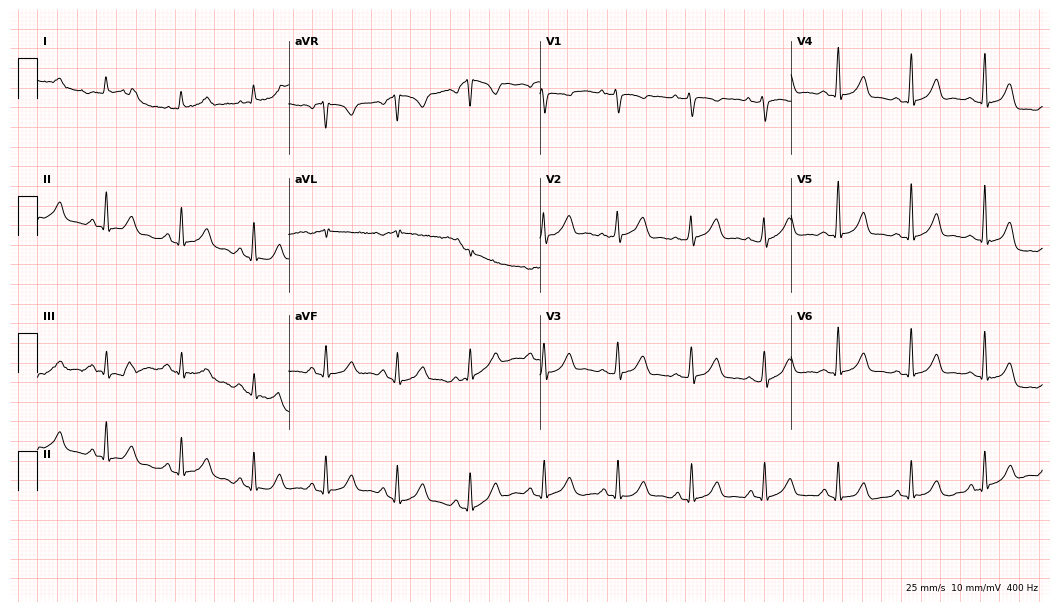
Standard 12-lead ECG recorded from a 34-year-old female. None of these six findings is recorded: first-degree AV block, right bundle branch block, left bundle branch block, sinus bradycardia, atrial fibrillation, sinus tachycardia.